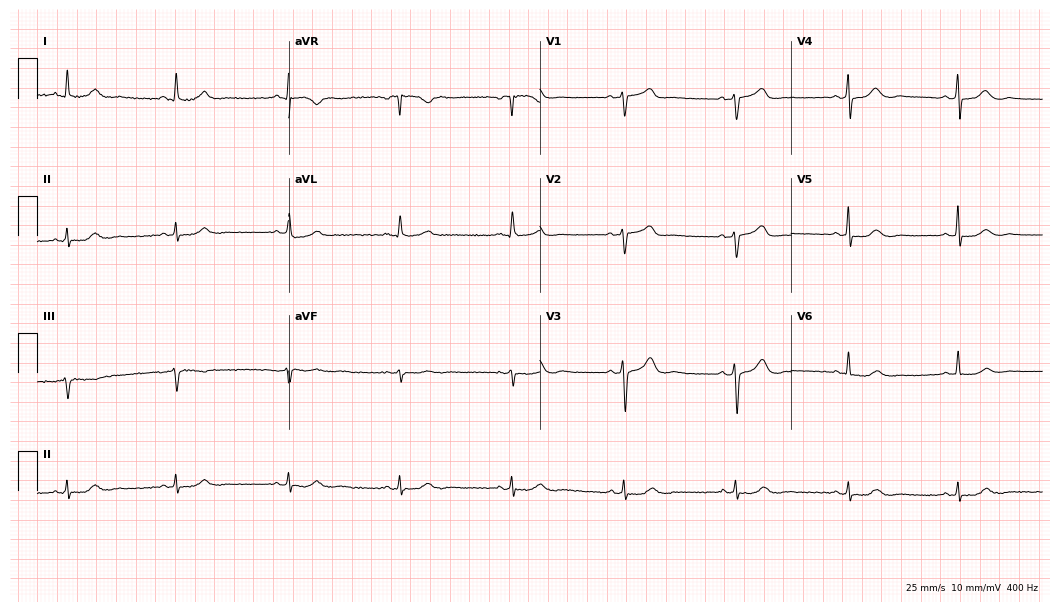
Electrocardiogram, a woman, 54 years old. Of the six screened findings (first-degree AV block, right bundle branch block (RBBB), left bundle branch block (LBBB), sinus bradycardia, atrial fibrillation (AF), sinus tachycardia), none is recorded.